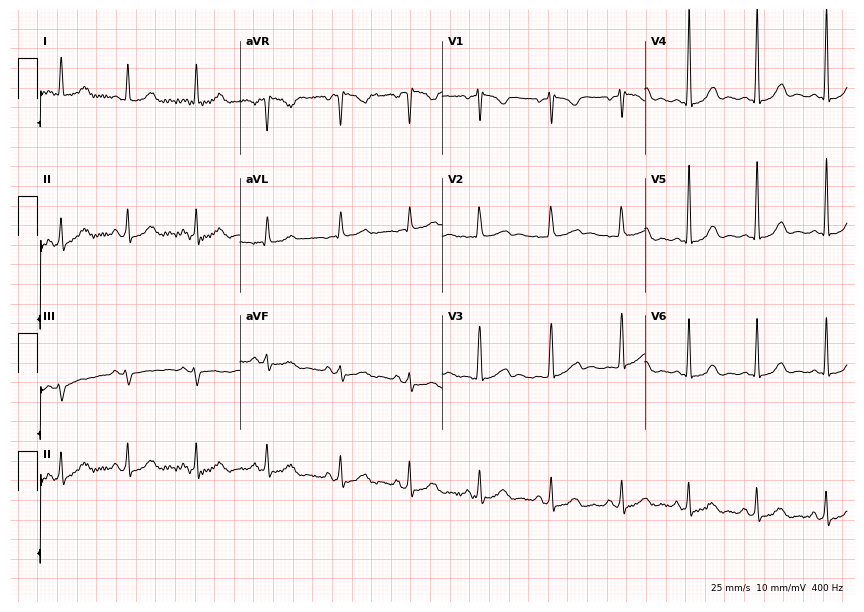
ECG — a 31-year-old female. Labelled as a normal ECG.